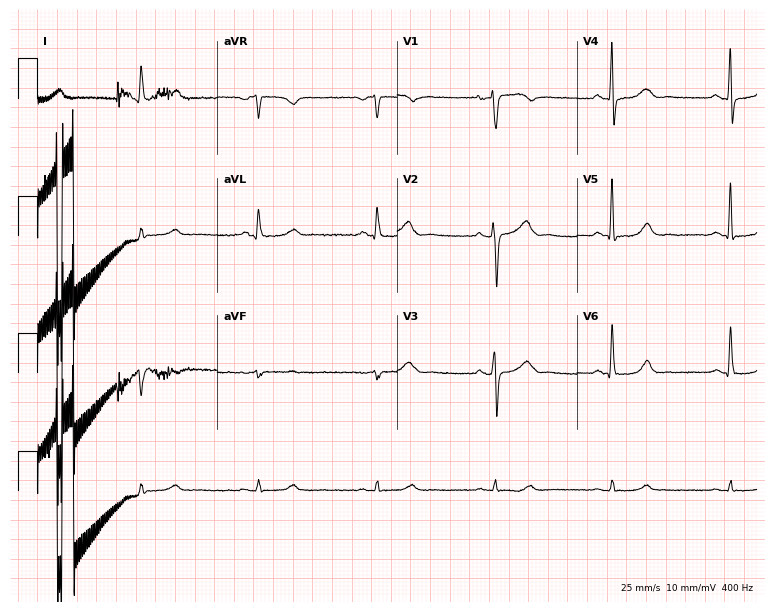
ECG — a 68-year-old woman. Screened for six findings — first-degree AV block, right bundle branch block (RBBB), left bundle branch block (LBBB), sinus bradycardia, atrial fibrillation (AF), sinus tachycardia — none is recorded.